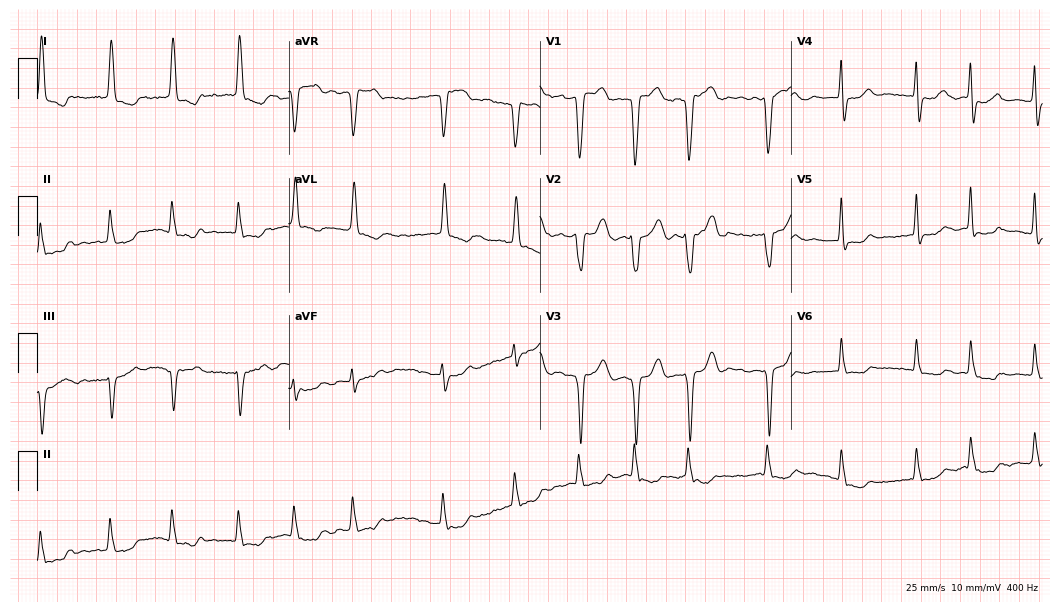
12-lead ECG from a 77-year-old female patient. Shows atrial fibrillation (AF).